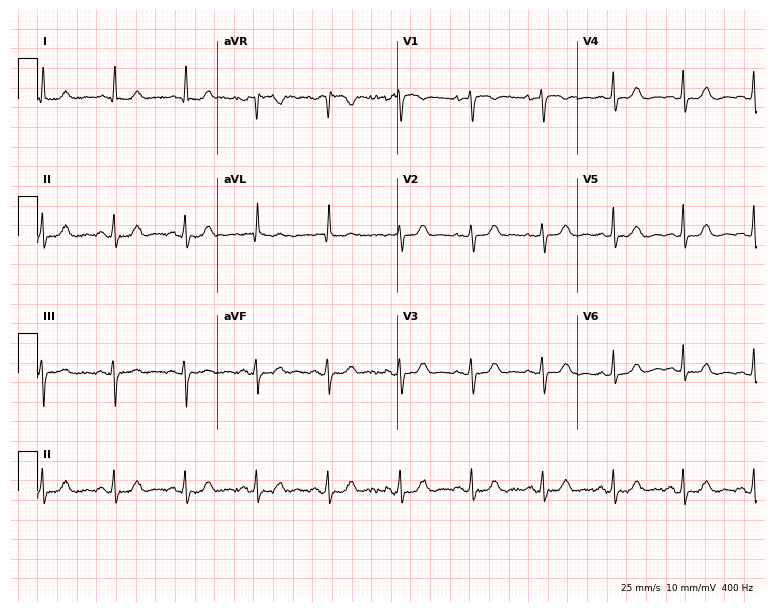
Electrocardiogram (7.3-second recording at 400 Hz), a 74-year-old female patient. Of the six screened findings (first-degree AV block, right bundle branch block, left bundle branch block, sinus bradycardia, atrial fibrillation, sinus tachycardia), none is recorded. Only these six findings were labelled.